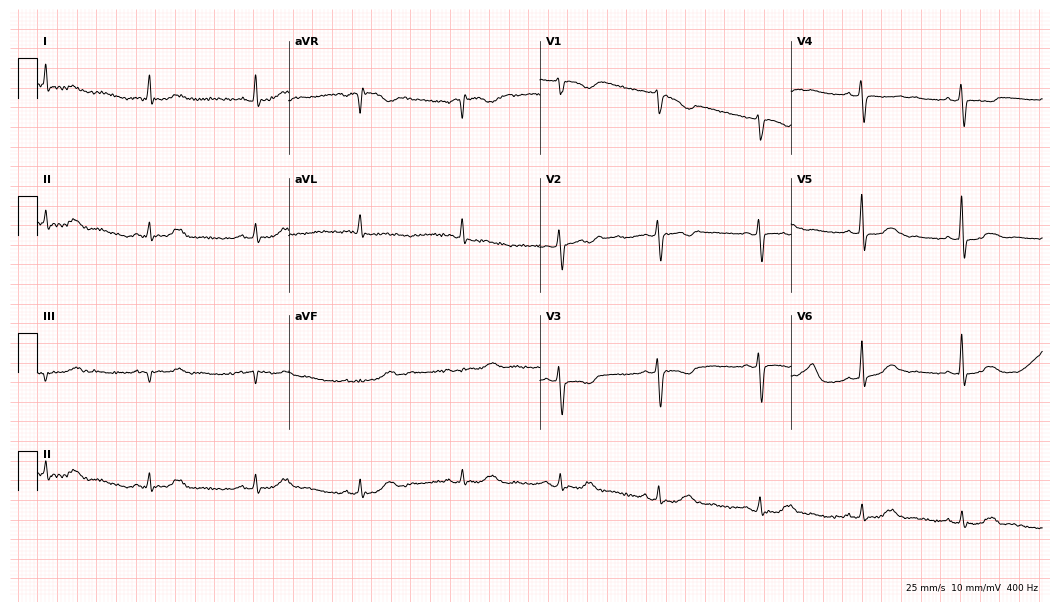
Standard 12-lead ECG recorded from a 68-year-old female patient. None of these six findings is recorded: first-degree AV block, right bundle branch block (RBBB), left bundle branch block (LBBB), sinus bradycardia, atrial fibrillation (AF), sinus tachycardia. Other findings, if any, are not listed.